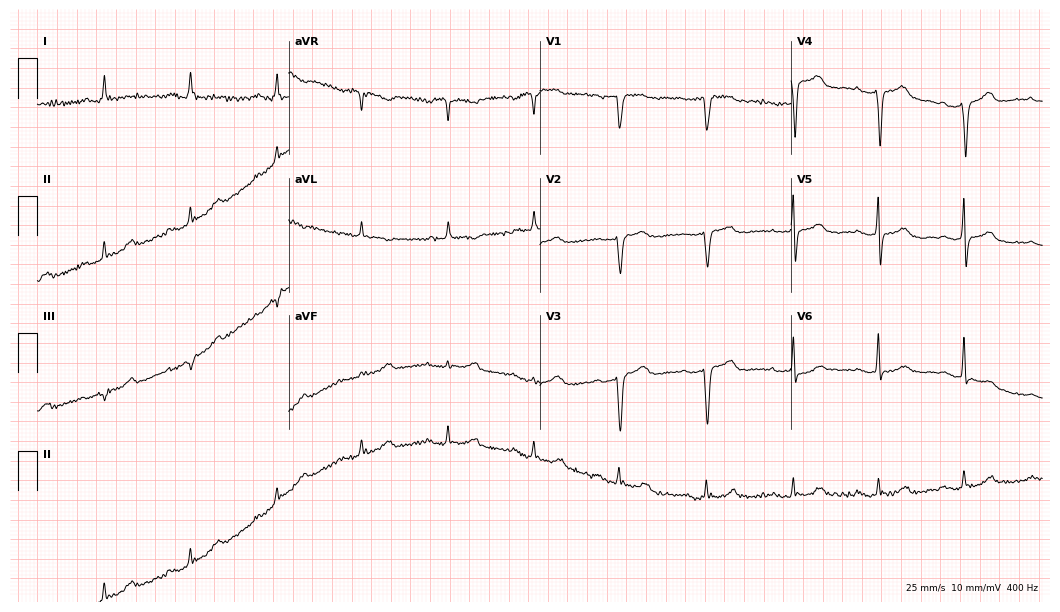
Resting 12-lead electrocardiogram (10.2-second recording at 400 Hz). Patient: a woman, 80 years old. None of these six findings is recorded: first-degree AV block, right bundle branch block, left bundle branch block, sinus bradycardia, atrial fibrillation, sinus tachycardia. Only these six findings were labelled.